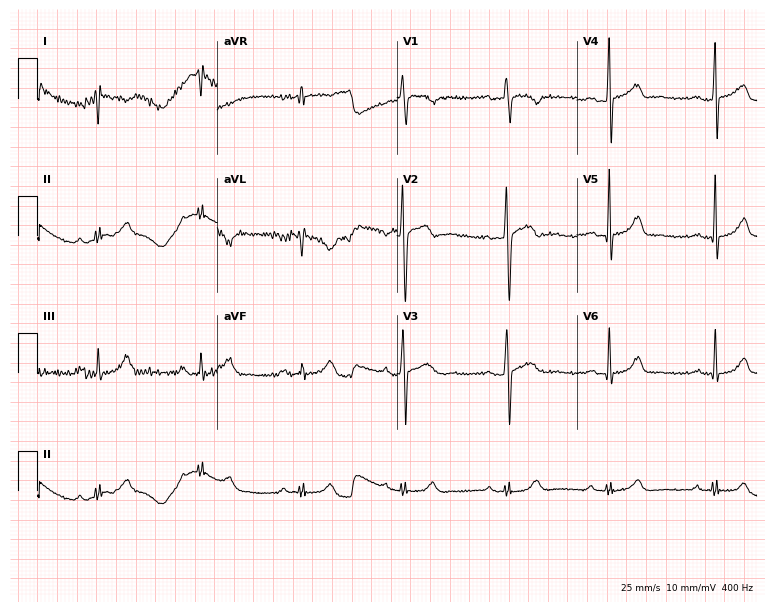
Standard 12-lead ECG recorded from a 34-year-old male (7.3-second recording at 400 Hz). None of these six findings is recorded: first-degree AV block, right bundle branch block, left bundle branch block, sinus bradycardia, atrial fibrillation, sinus tachycardia. Findings outside these six are not listed.